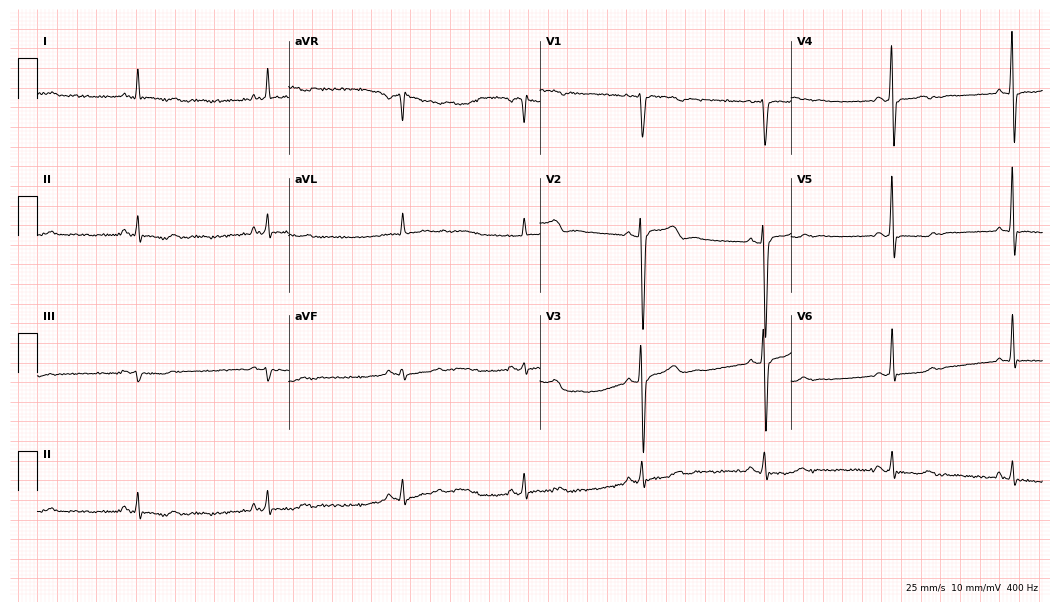
12-lead ECG (10.2-second recording at 400 Hz) from a man, 61 years old. Findings include sinus bradycardia (a sinus rate of 50 beats per minute or less).